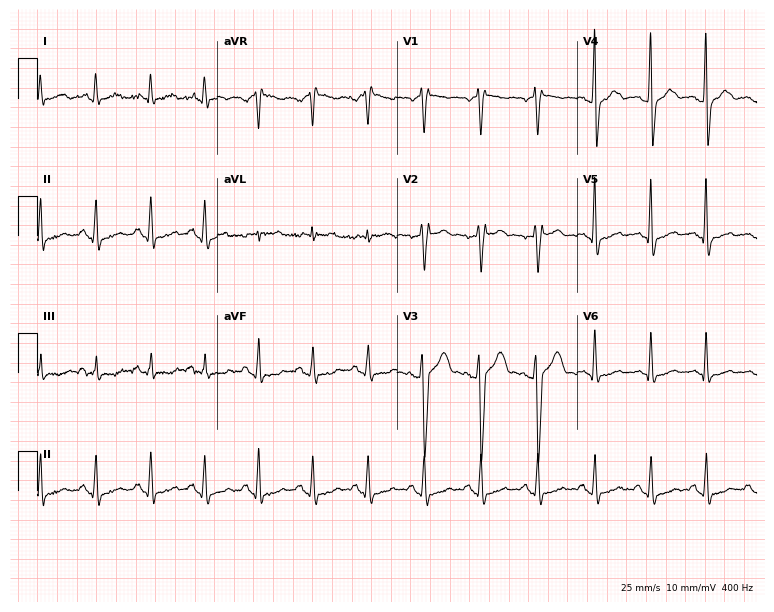
12-lead ECG from a man, 41 years old. Shows sinus tachycardia (a sinus rate of 100 beats per minute or more).